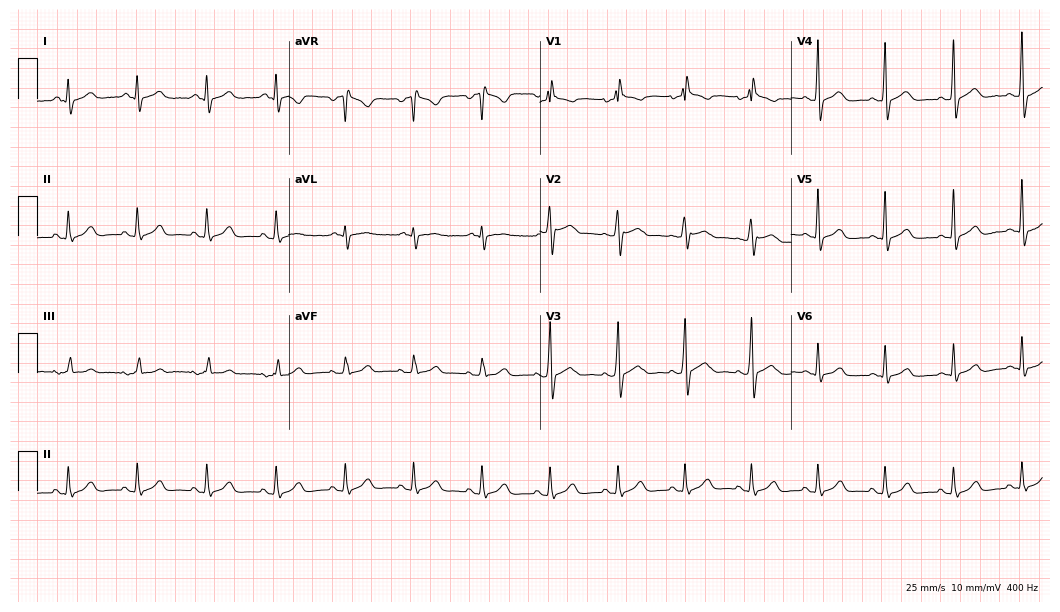
Standard 12-lead ECG recorded from a 56-year-old male. None of these six findings is recorded: first-degree AV block, right bundle branch block, left bundle branch block, sinus bradycardia, atrial fibrillation, sinus tachycardia.